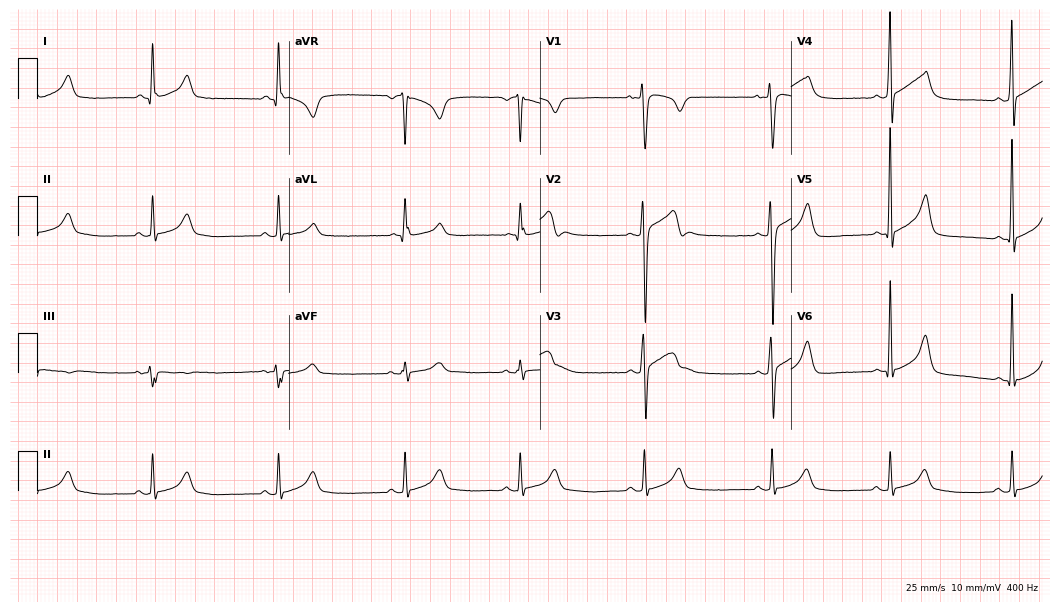
12-lead ECG from a male patient, 21 years old. Findings include sinus bradycardia (a sinus rate of 50 beats per minute or less).